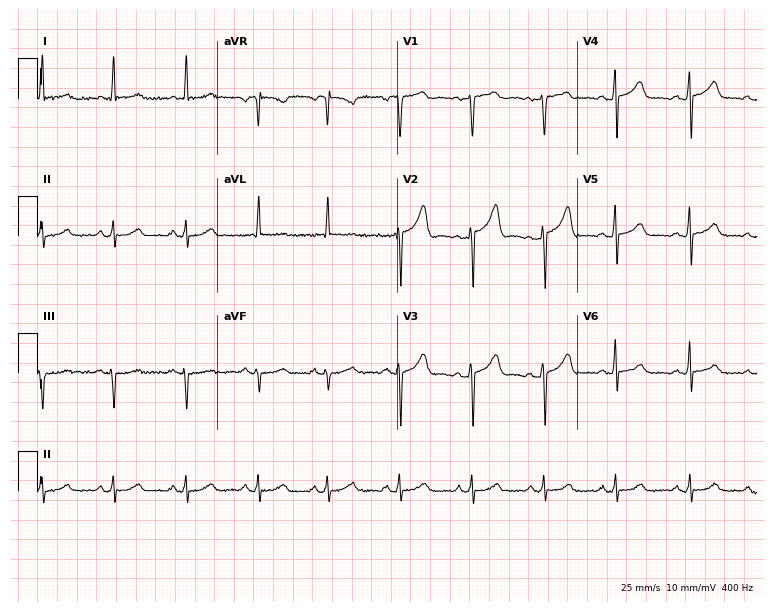
Standard 12-lead ECG recorded from a male, 57 years old (7.3-second recording at 400 Hz). Read as a normal ECG.